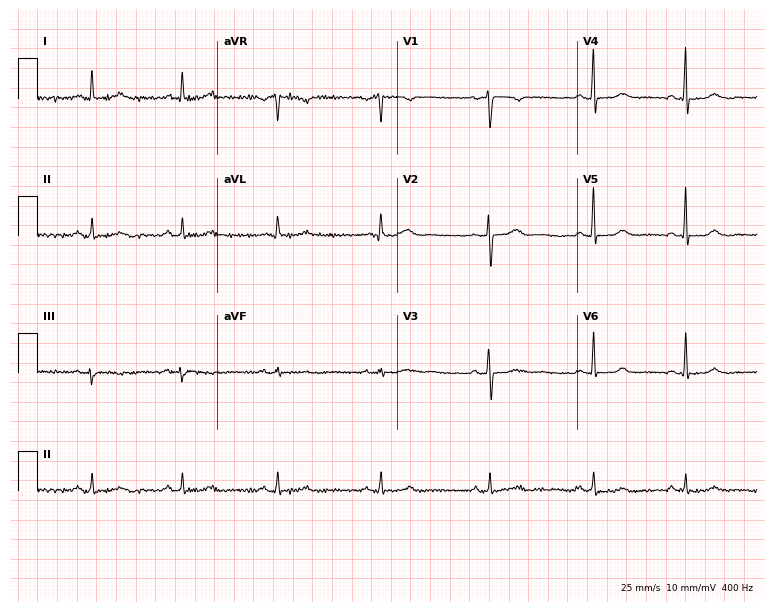
Resting 12-lead electrocardiogram. Patient: a 44-year-old female. None of these six findings is recorded: first-degree AV block, right bundle branch block (RBBB), left bundle branch block (LBBB), sinus bradycardia, atrial fibrillation (AF), sinus tachycardia.